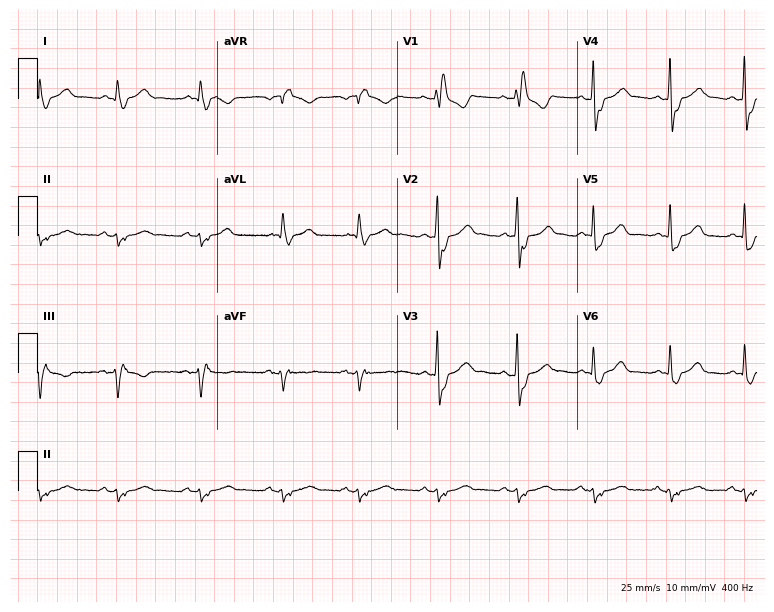
12-lead ECG from an 80-year-old man (7.3-second recording at 400 Hz). Shows right bundle branch block (RBBB).